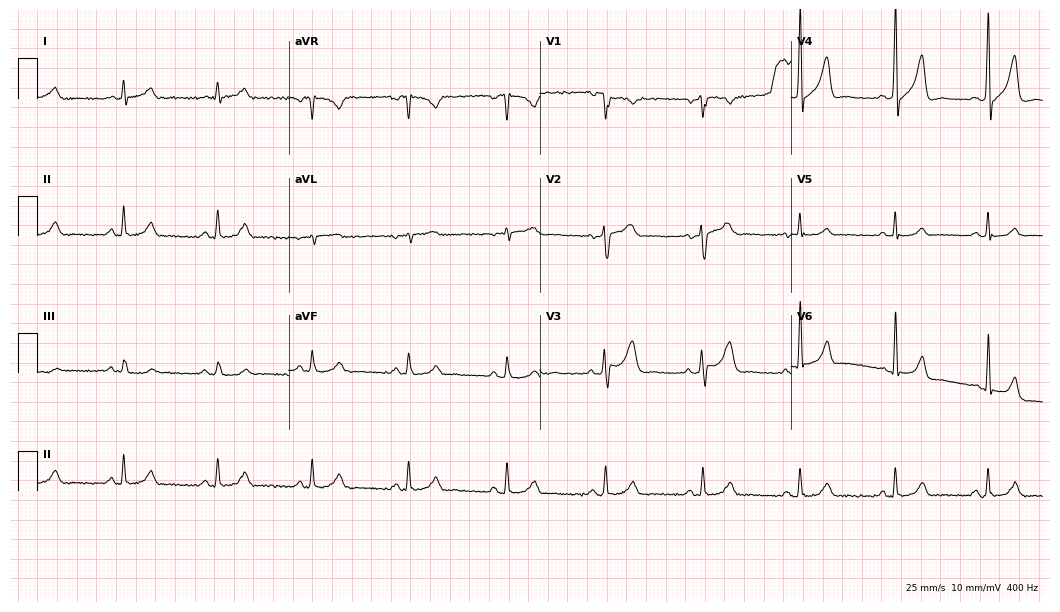
Standard 12-lead ECG recorded from a 46-year-old man (10.2-second recording at 400 Hz). None of these six findings is recorded: first-degree AV block, right bundle branch block, left bundle branch block, sinus bradycardia, atrial fibrillation, sinus tachycardia.